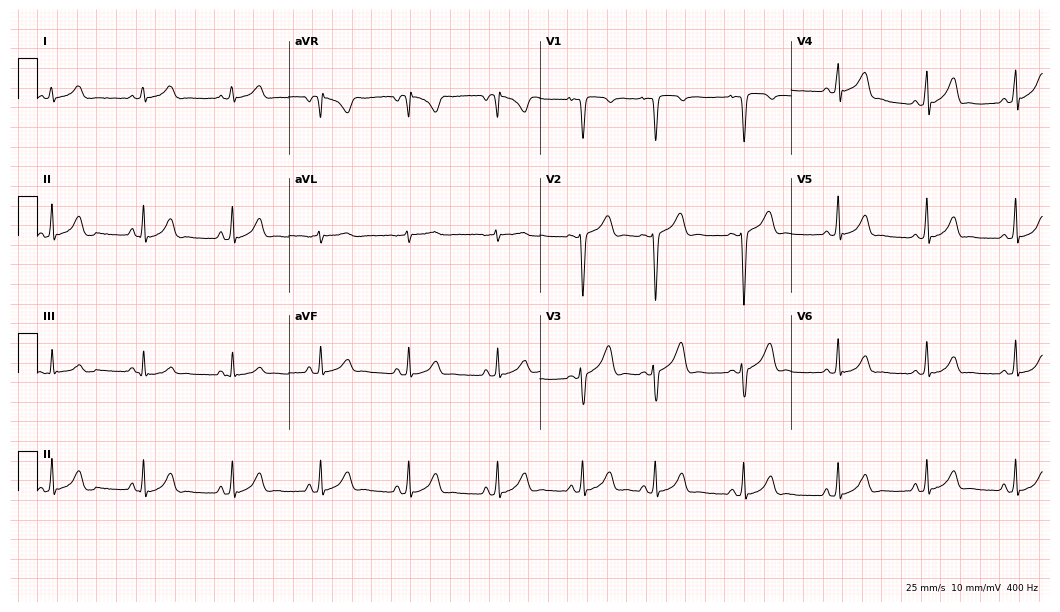
ECG (10.2-second recording at 400 Hz) — a woman, 18 years old. Labelled as a normal ECG.